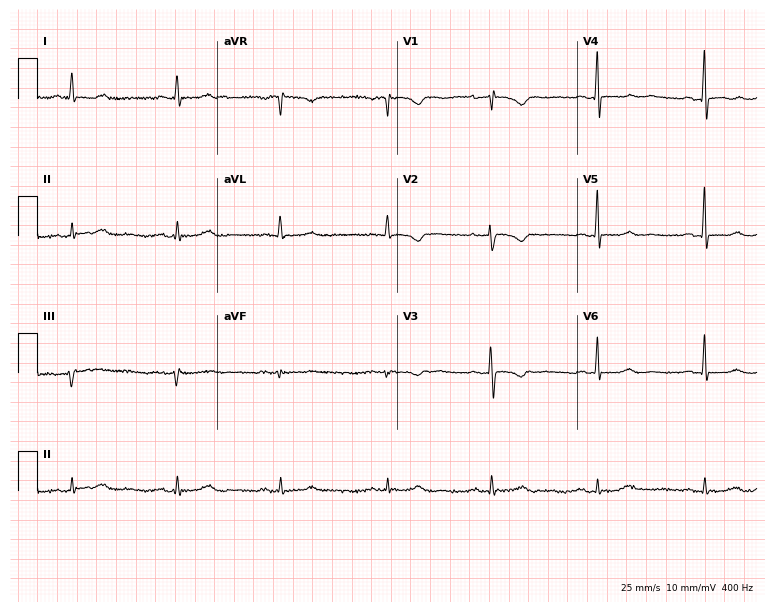
Resting 12-lead electrocardiogram (7.3-second recording at 400 Hz). Patient: a female, 78 years old. None of these six findings is recorded: first-degree AV block, right bundle branch block, left bundle branch block, sinus bradycardia, atrial fibrillation, sinus tachycardia.